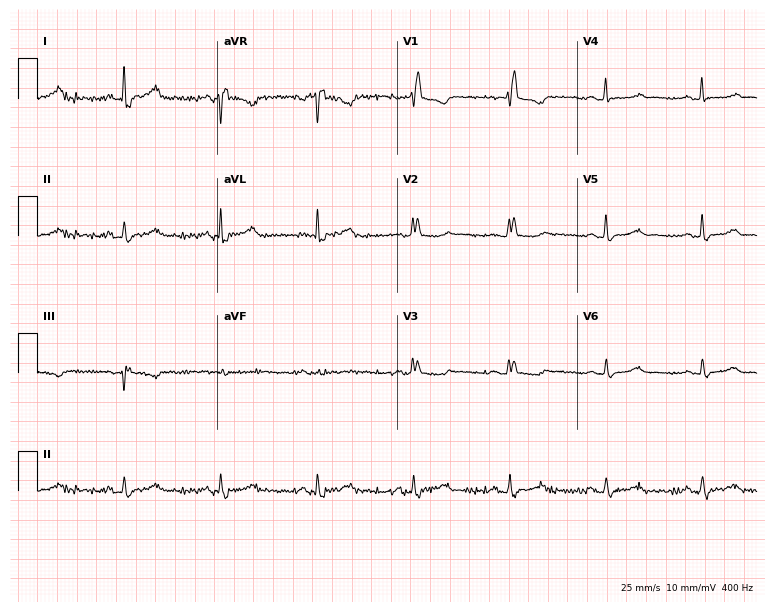
Resting 12-lead electrocardiogram. Patient: a 51-year-old female. The tracing shows right bundle branch block.